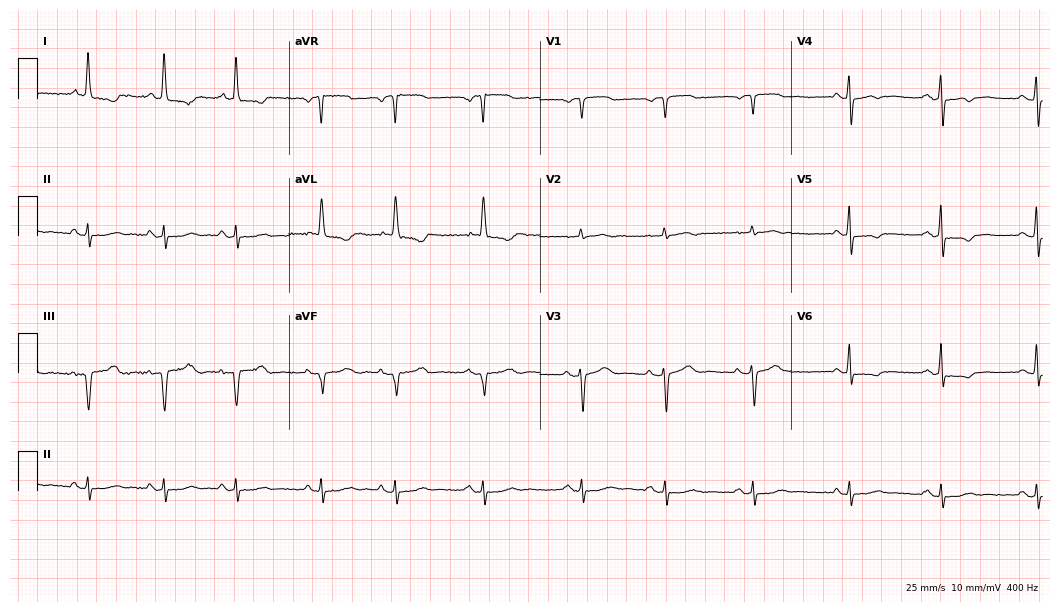
12-lead ECG from a 73-year-old female. Screened for six findings — first-degree AV block, right bundle branch block, left bundle branch block, sinus bradycardia, atrial fibrillation, sinus tachycardia — none is recorded.